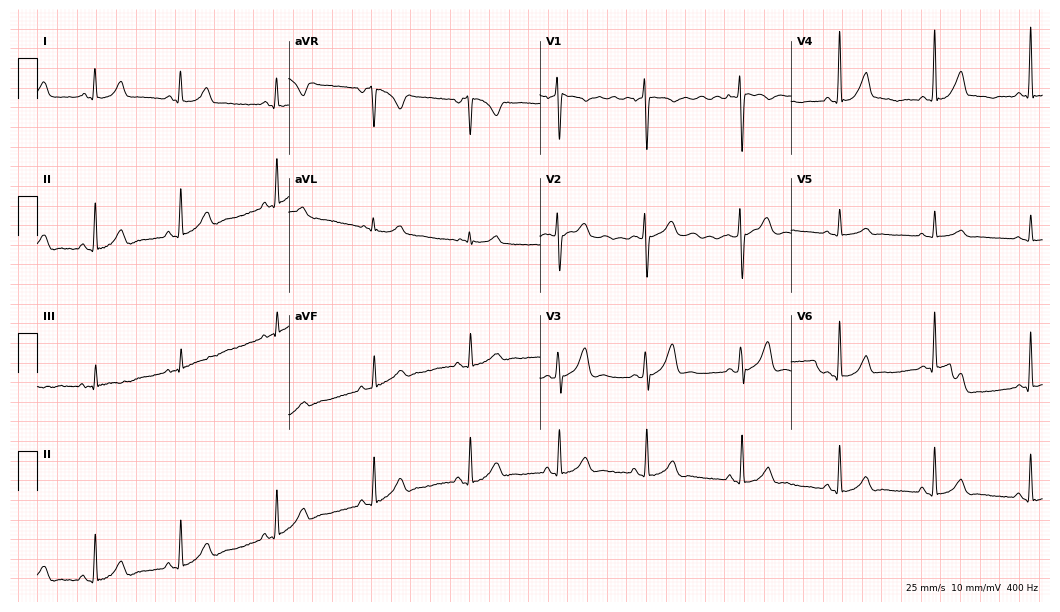
12-lead ECG from a female patient, 28 years old (10.2-second recording at 400 Hz). Recorded interpretation: within normal limits.